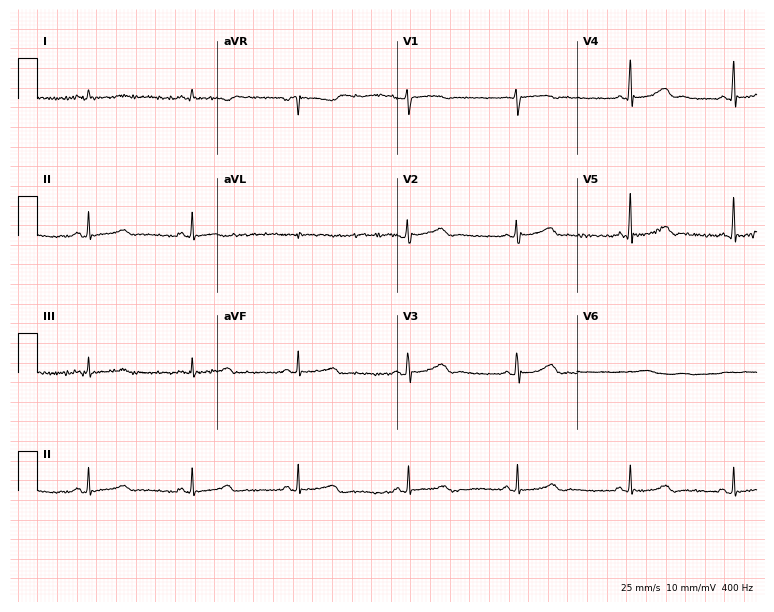
Standard 12-lead ECG recorded from a 43-year-old male (7.3-second recording at 400 Hz). Read as a normal ECG.